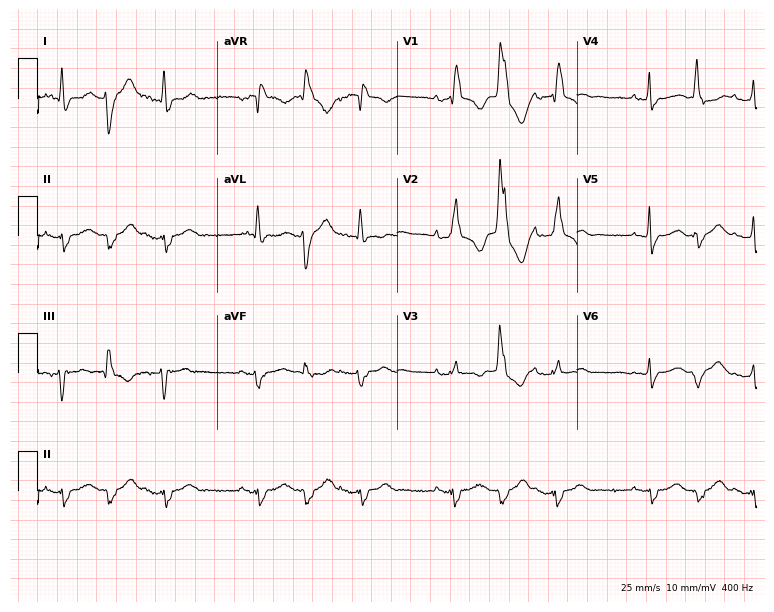
Electrocardiogram, a female patient, 63 years old. Interpretation includes right bundle branch block.